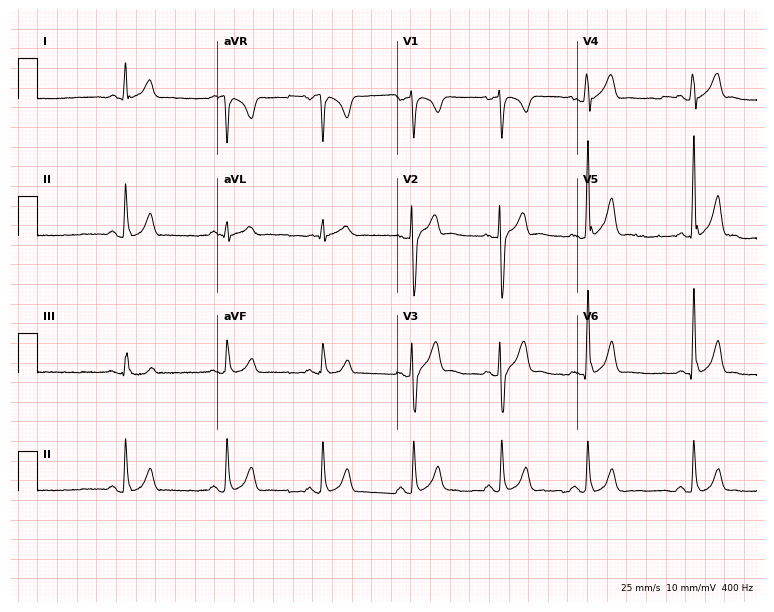
Resting 12-lead electrocardiogram (7.3-second recording at 400 Hz). Patient: a man, 48 years old. Read as a normal ECG.